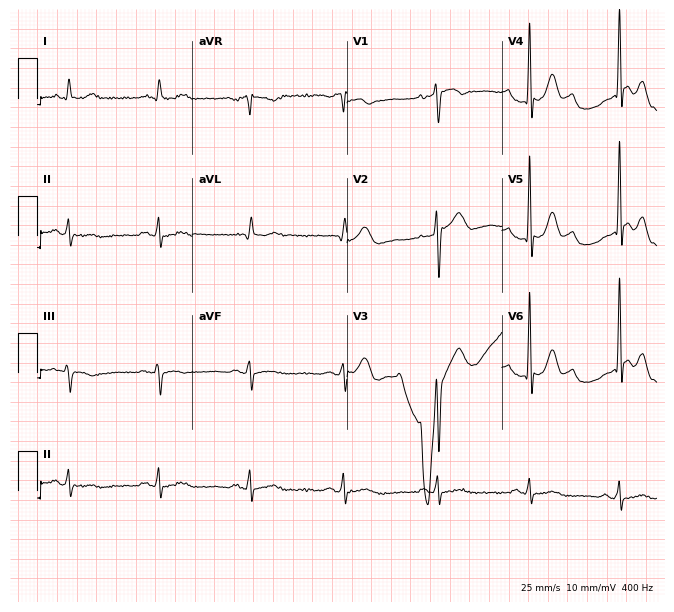
12-lead ECG from a male, 65 years old. No first-degree AV block, right bundle branch block (RBBB), left bundle branch block (LBBB), sinus bradycardia, atrial fibrillation (AF) or sinus tachycardia recorded for this tracing. Other findings, if any, are not listed.